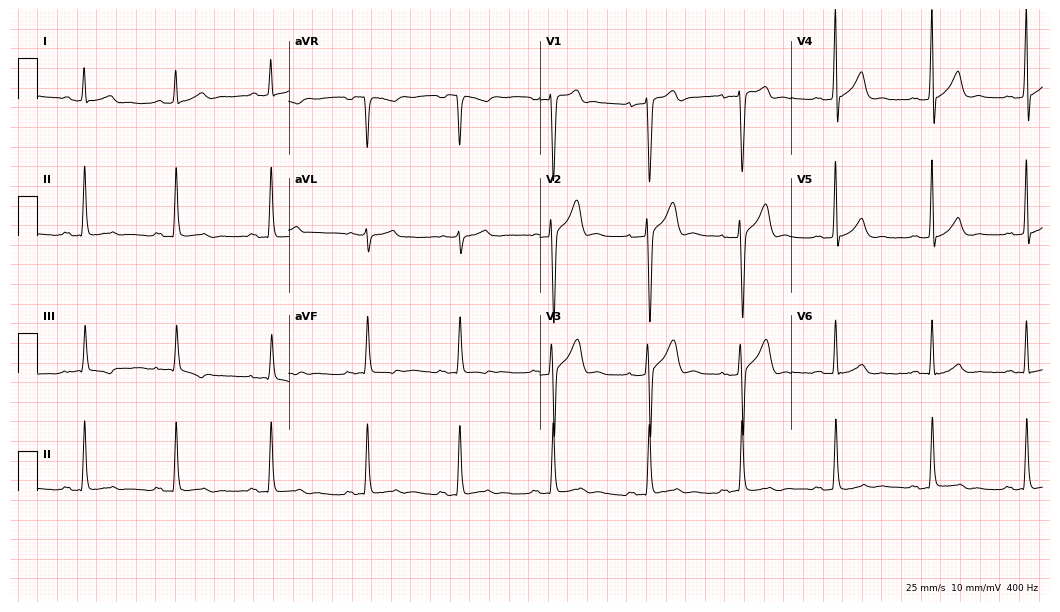
12-lead ECG from a man, 35 years old. Recorded interpretation: within normal limits.